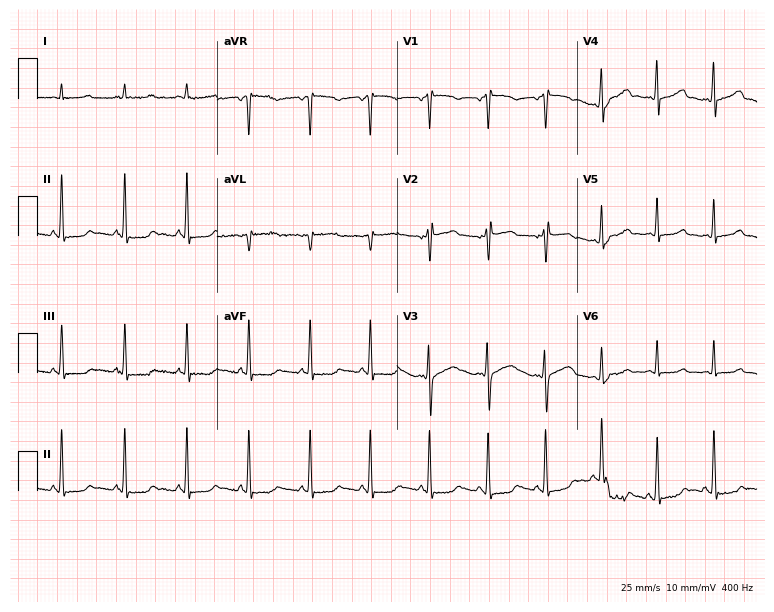
Standard 12-lead ECG recorded from a male patient, 36 years old. Read as a normal ECG.